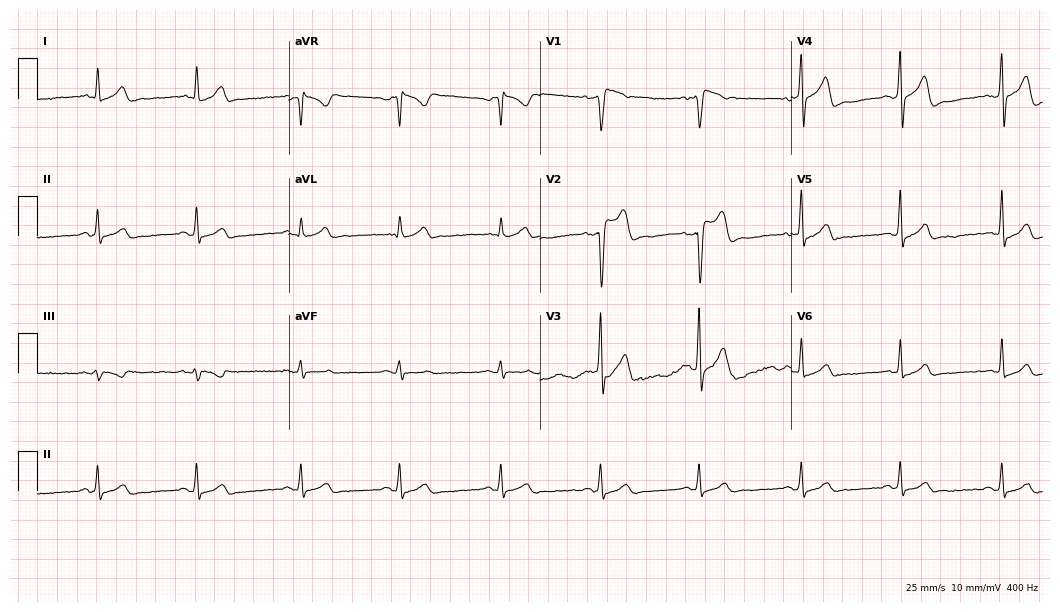
Electrocardiogram (10.2-second recording at 400 Hz), a 49-year-old man. Of the six screened findings (first-degree AV block, right bundle branch block, left bundle branch block, sinus bradycardia, atrial fibrillation, sinus tachycardia), none is recorded. Findings outside these six are not listed.